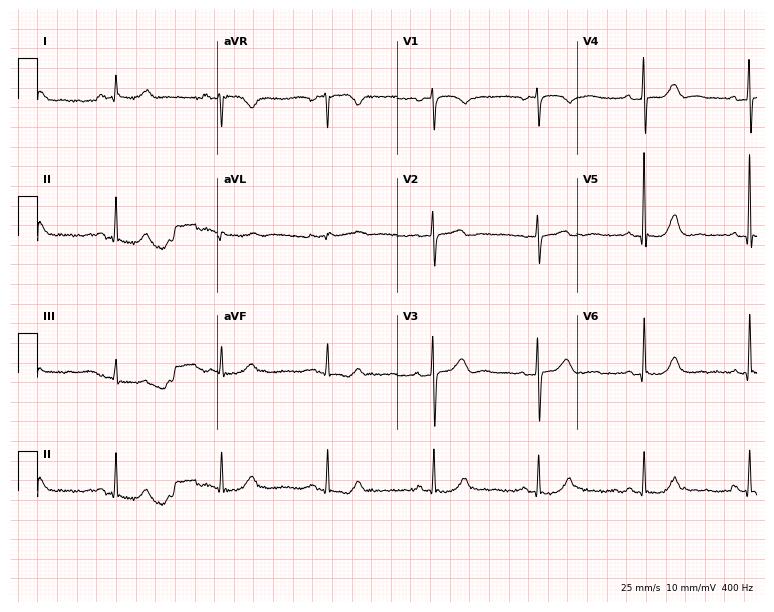
12-lead ECG from a 73-year-old male (7.3-second recording at 400 Hz). Recorded interpretation: within normal limits.